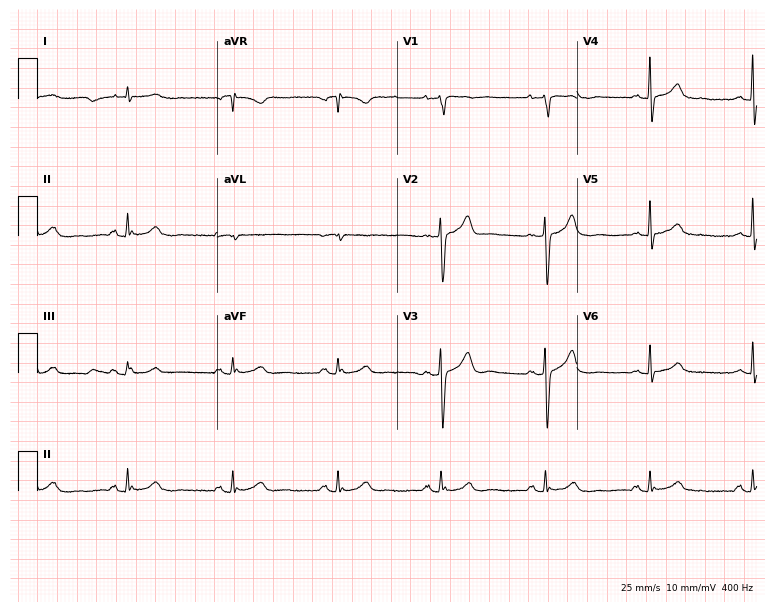
Resting 12-lead electrocardiogram (7.3-second recording at 400 Hz). Patient: a 71-year-old man. Read as a normal ECG.